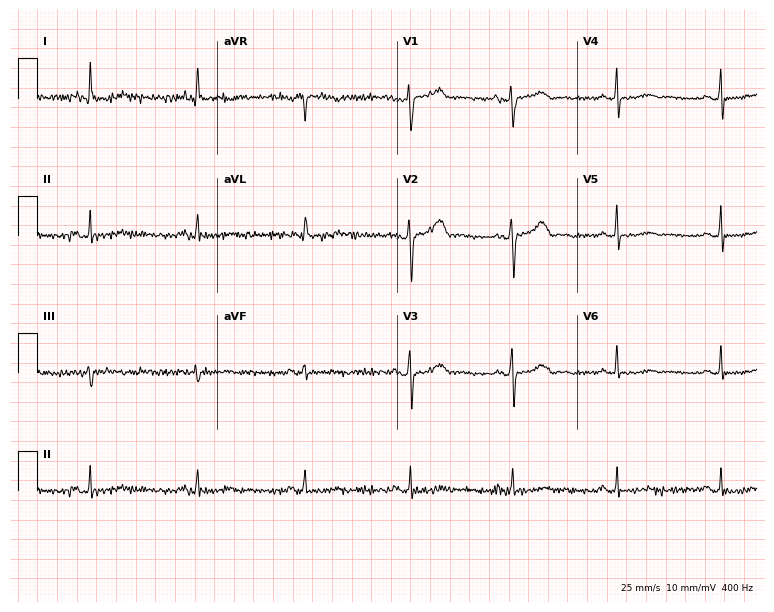
ECG — a 59-year-old woman. Screened for six findings — first-degree AV block, right bundle branch block (RBBB), left bundle branch block (LBBB), sinus bradycardia, atrial fibrillation (AF), sinus tachycardia — none is recorded. Findings outside these six are not listed.